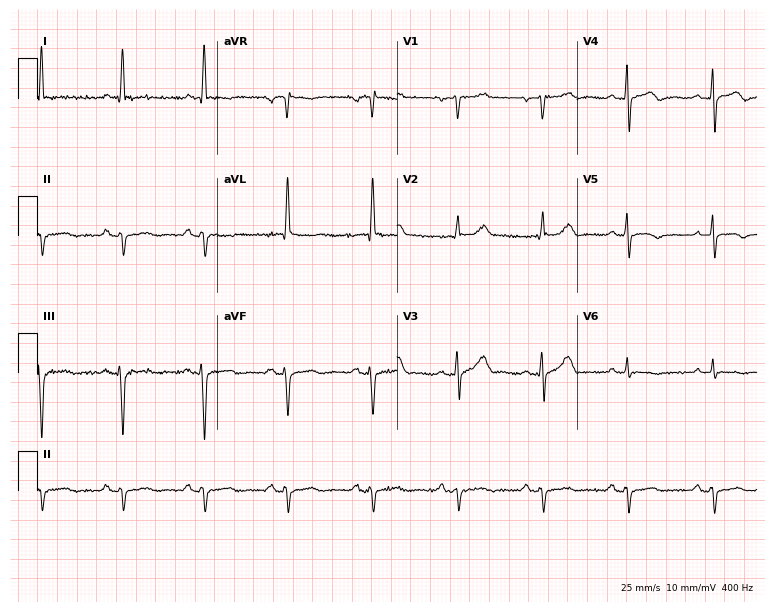
Electrocardiogram (7.3-second recording at 400 Hz), an 82-year-old man. Of the six screened findings (first-degree AV block, right bundle branch block, left bundle branch block, sinus bradycardia, atrial fibrillation, sinus tachycardia), none is recorded. Other findings, if any, are not listed.